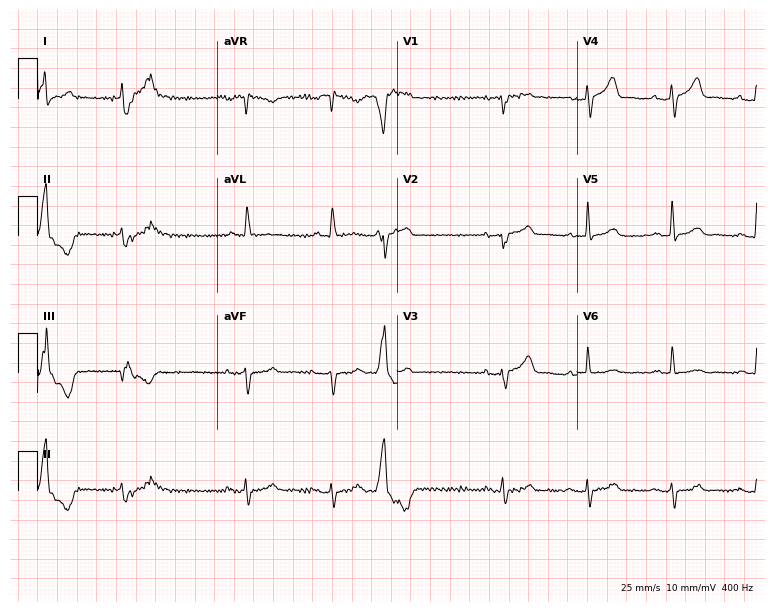
ECG (7.3-second recording at 400 Hz) — a male, 87 years old. Screened for six findings — first-degree AV block, right bundle branch block, left bundle branch block, sinus bradycardia, atrial fibrillation, sinus tachycardia — none is recorded. Only these six findings were labelled.